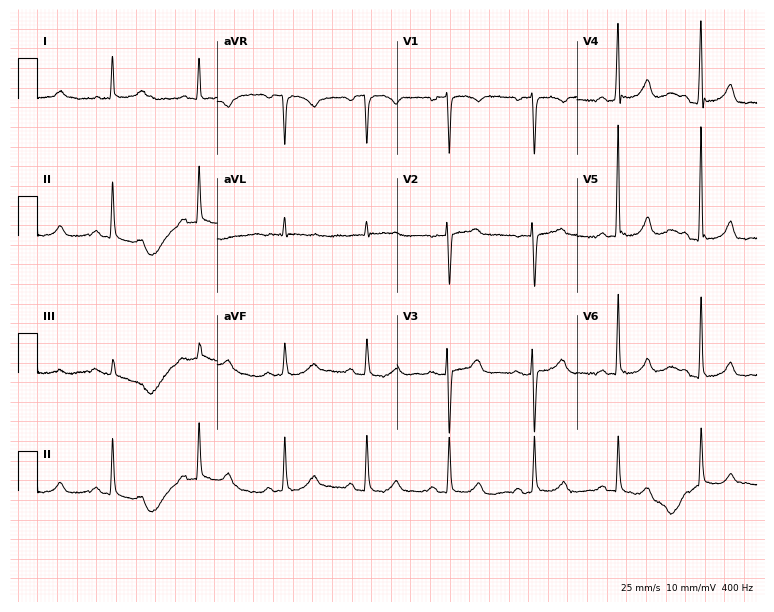
Electrocardiogram (7.3-second recording at 400 Hz), a female, 68 years old. Overall reading on record: normal ECG.